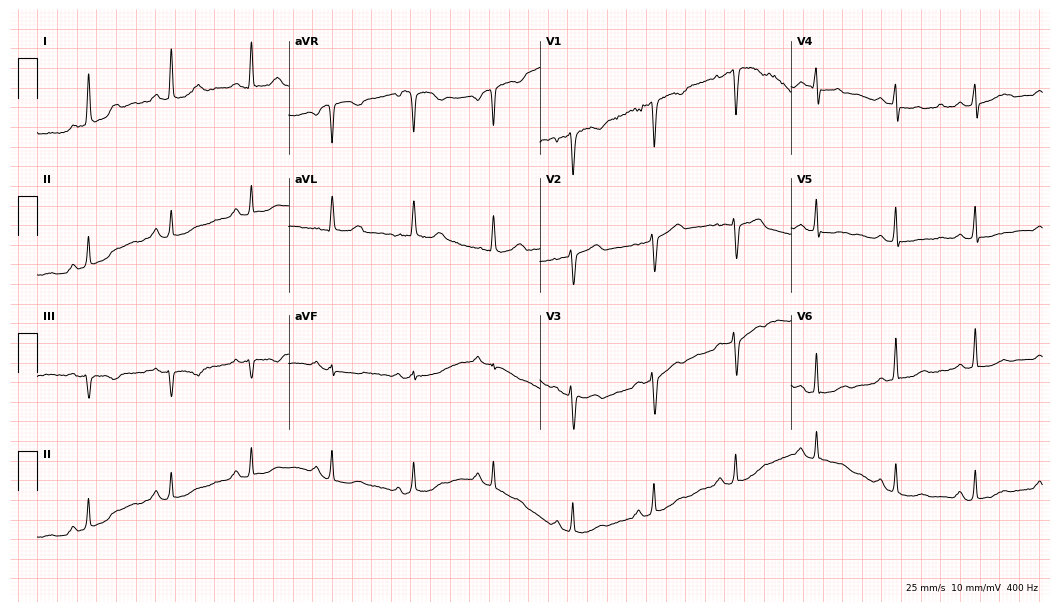
12-lead ECG (10.2-second recording at 400 Hz) from a 44-year-old woman. Screened for six findings — first-degree AV block, right bundle branch block (RBBB), left bundle branch block (LBBB), sinus bradycardia, atrial fibrillation (AF), sinus tachycardia — none is recorded. Other findings, if any, are not listed.